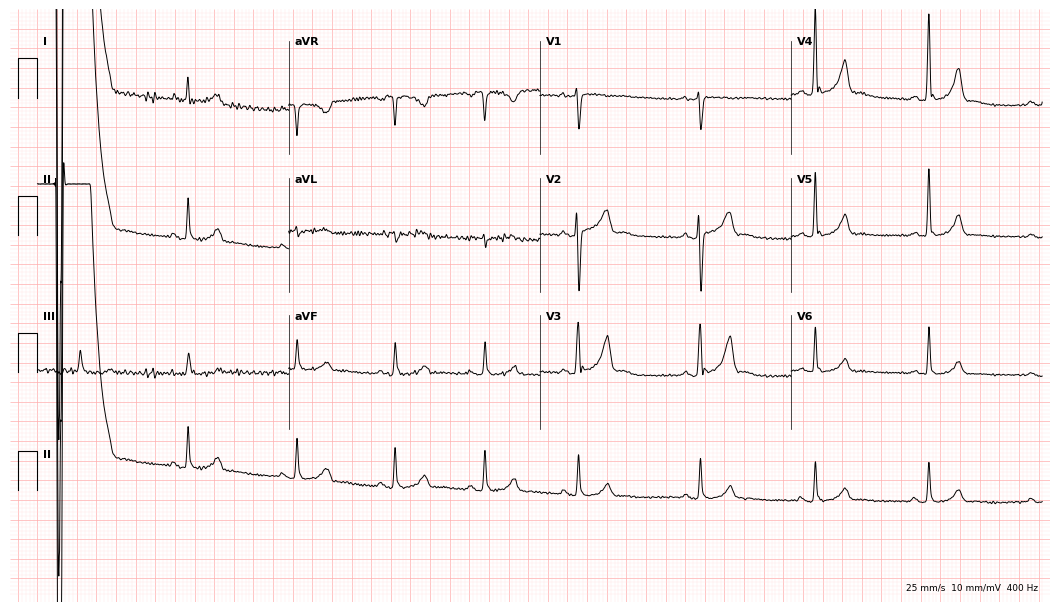
12-lead ECG from a 35-year-old male. Screened for six findings — first-degree AV block, right bundle branch block (RBBB), left bundle branch block (LBBB), sinus bradycardia, atrial fibrillation (AF), sinus tachycardia — none is recorded. Other findings, if any, are not listed.